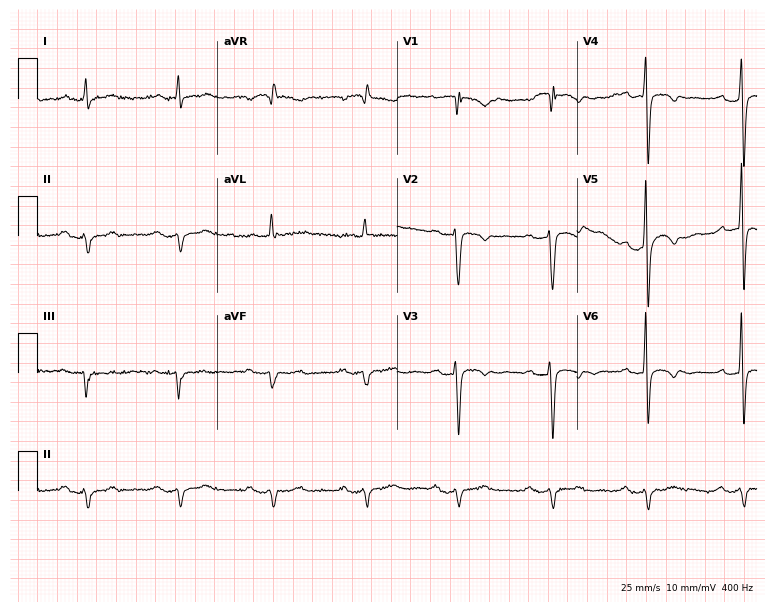
Electrocardiogram, a man, 69 years old. Of the six screened findings (first-degree AV block, right bundle branch block (RBBB), left bundle branch block (LBBB), sinus bradycardia, atrial fibrillation (AF), sinus tachycardia), none is recorded.